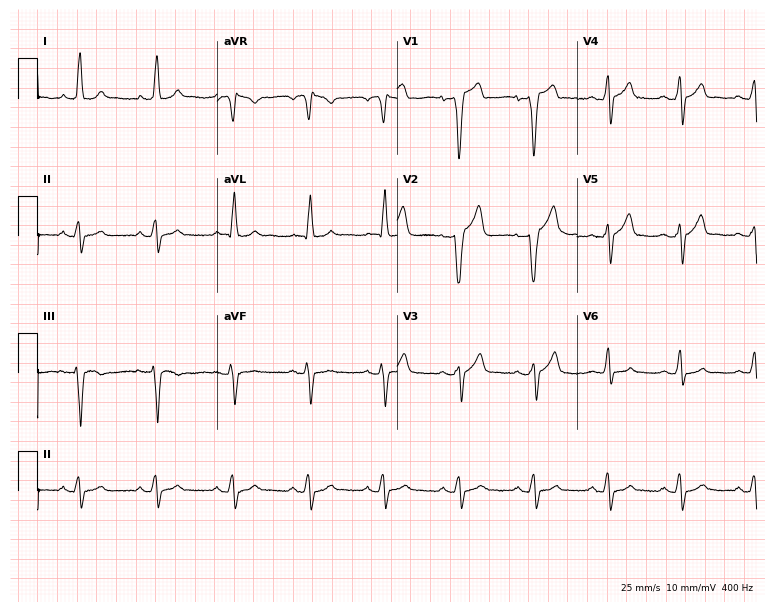
12-lead ECG from a female patient, 59 years old (7.3-second recording at 400 Hz). No first-degree AV block, right bundle branch block, left bundle branch block, sinus bradycardia, atrial fibrillation or sinus tachycardia recorded for this tracing.